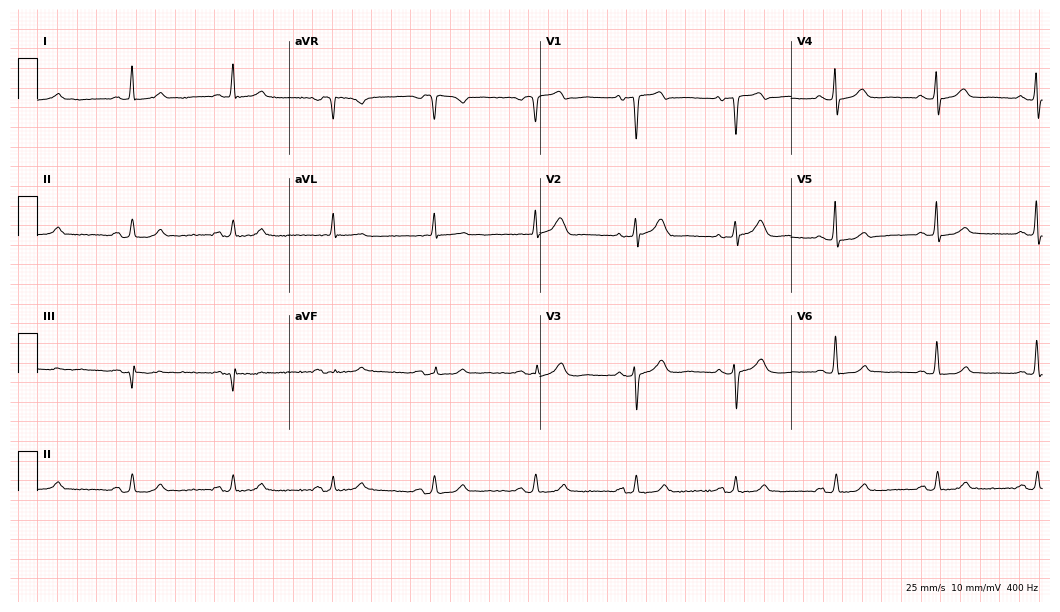
Electrocardiogram (10.2-second recording at 400 Hz), an 80-year-old male patient. Overall reading on record: normal ECG.